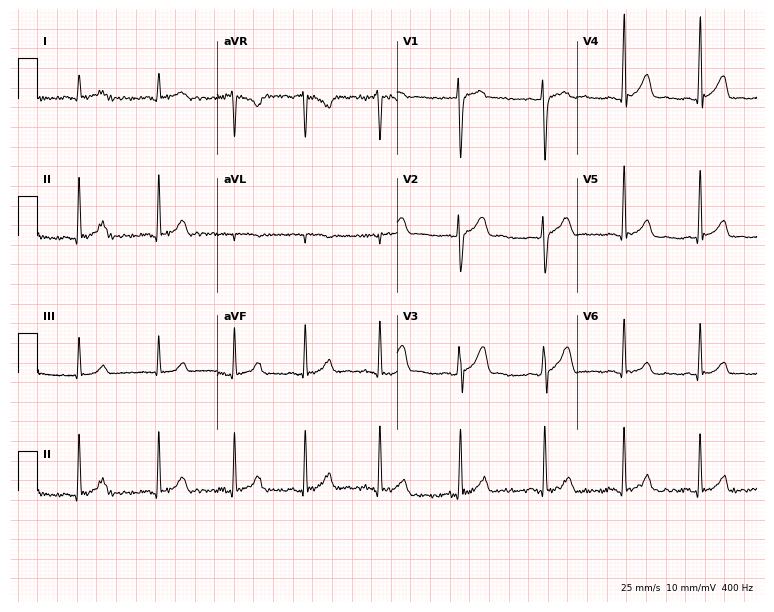
Electrocardiogram, a 21-year-old male. Overall reading on record: normal ECG.